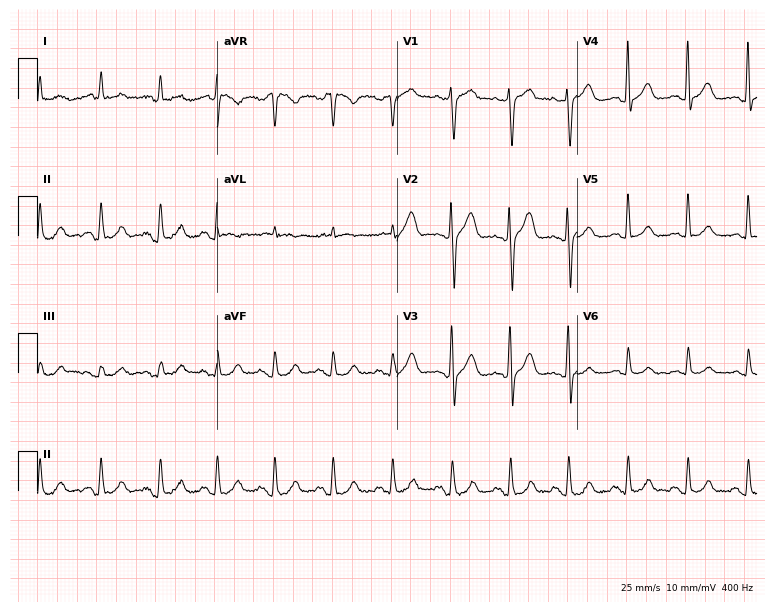
12-lead ECG from a man, 56 years old. Screened for six findings — first-degree AV block, right bundle branch block, left bundle branch block, sinus bradycardia, atrial fibrillation, sinus tachycardia — none is recorded.